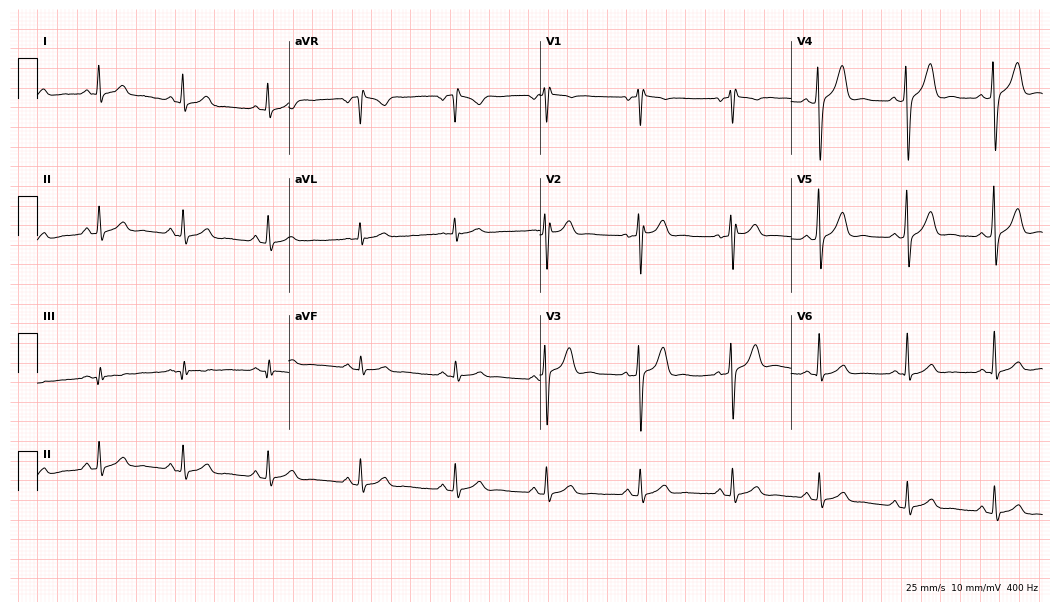
12-lead ECG from a male, 34 years old. Recorded interpretation: within normal limits.